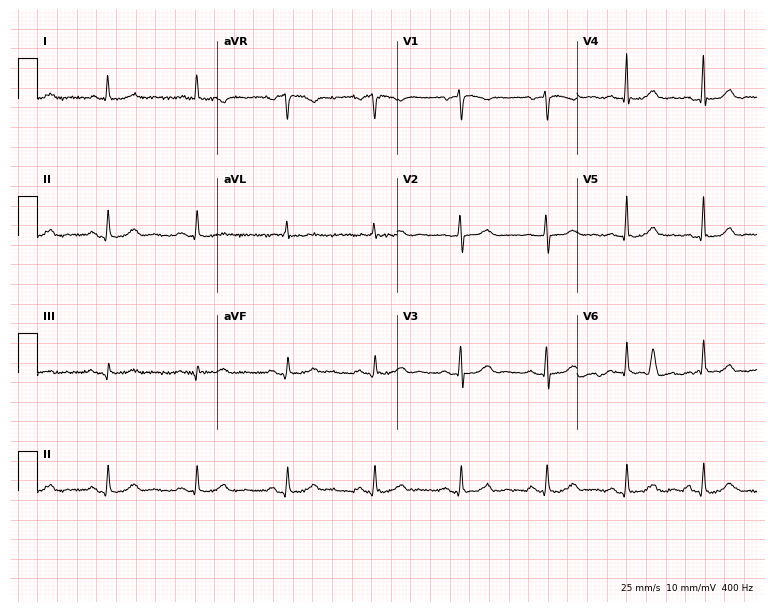
Standard 12-lead ECG recorded from a 61-year-old female patient. Read as a normal ECG.